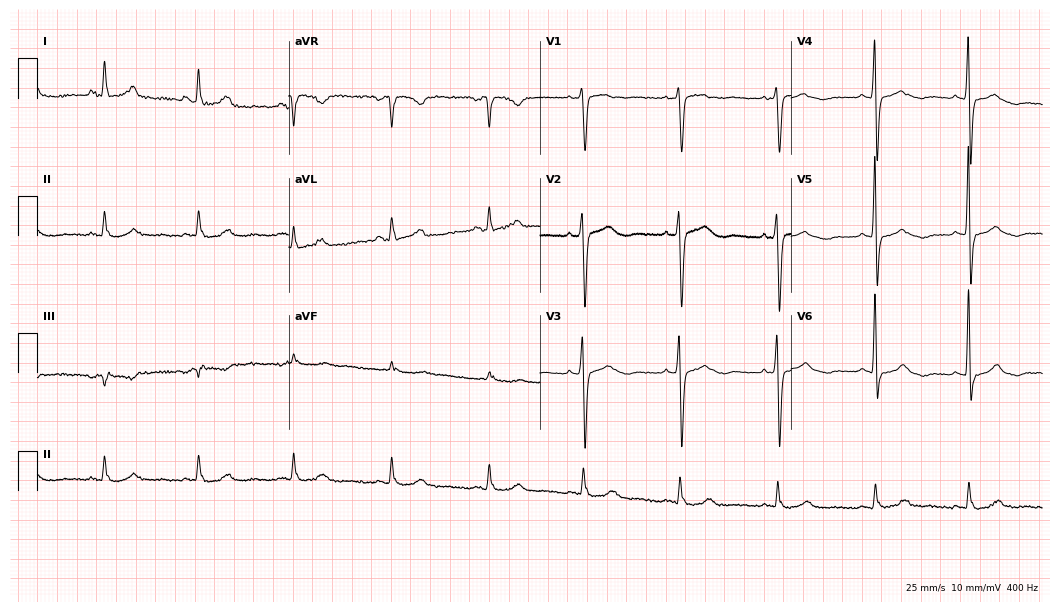
Resting 12-lead electrocardiogram (10.2-second recording at 400 Hz). Patient: a female, 70 years old. None of these six findings is recorded: first-degree AV block, right bundle branch block, left bundle branch block, sinus bradycardia, atrial fibrillation, sinus tachycardia.